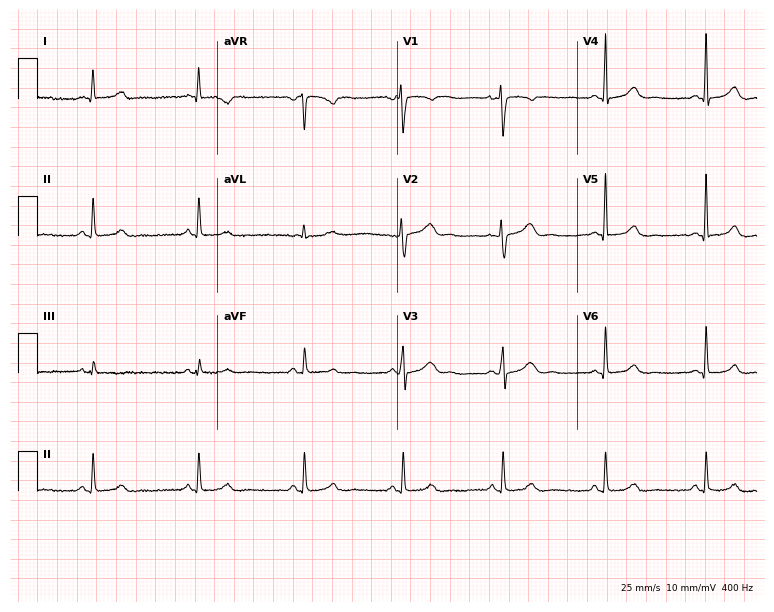
12-lead ECG from a female, 48 years old. No first-degree AV block, right bundle branch block (RBBB), left bundle branch block (LBBB), sinus bradycardia, atrial fibrillation (AF) or sinus tachycardia recorded for this tracing. Only these six findings were labelled.